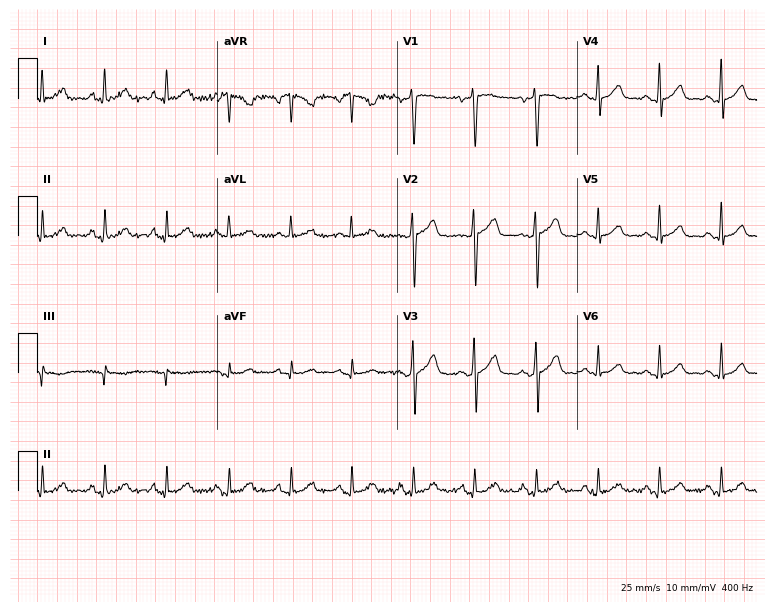
Electrocardiogram, a 42-year-old man. Overall reading on record: normal ECG.